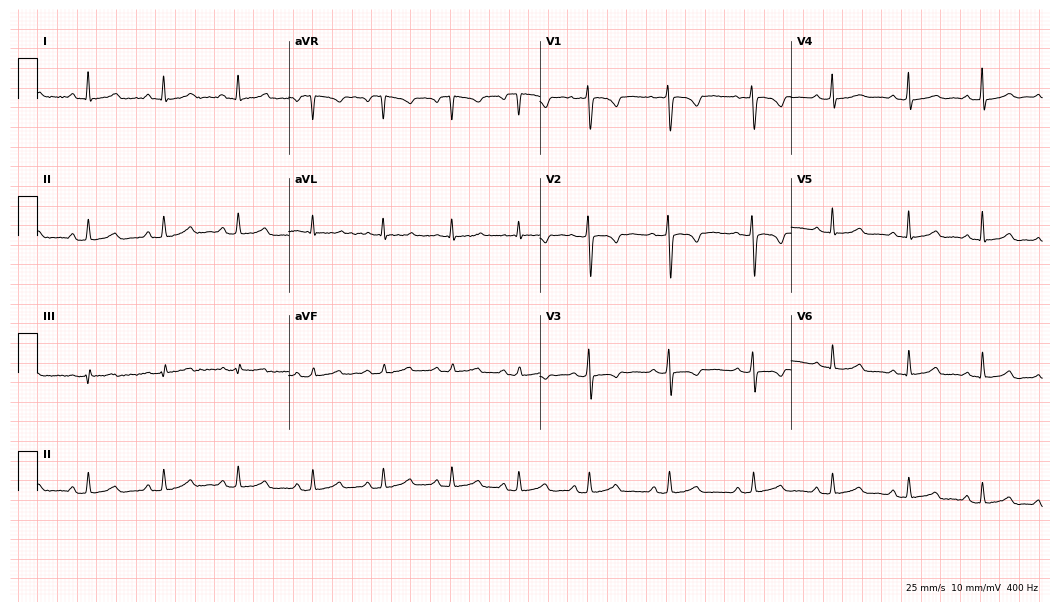
12-lead ECG from a 27-year-old female patient (10.2-second recording at 400 Hz). No first-degree AV block, right bundle branch block (RBBB), left bundle branch block (LBBB), sinus bradycardia, atrial fibrillation (AF) or sinus tachycardia recorded for this tracing. Only these six findings were labelled.